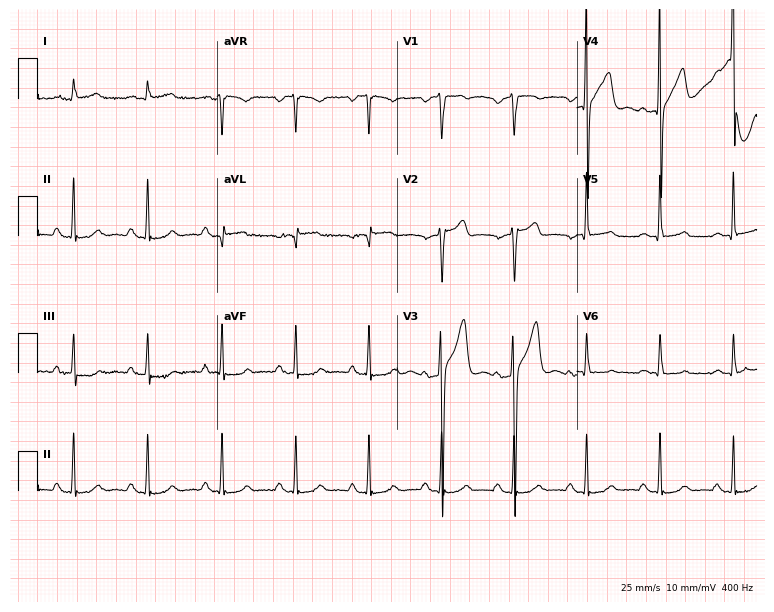
Resting 12-lead electrocardiogram. Patient: a male, 52 years old. None of these six findings is recorded: first-degree AV block, right bundle branch block (RBBB), left bundle branch block (LBBB), sinus bradycardia, atrial fibrillation (AF), sinus tachycardia.